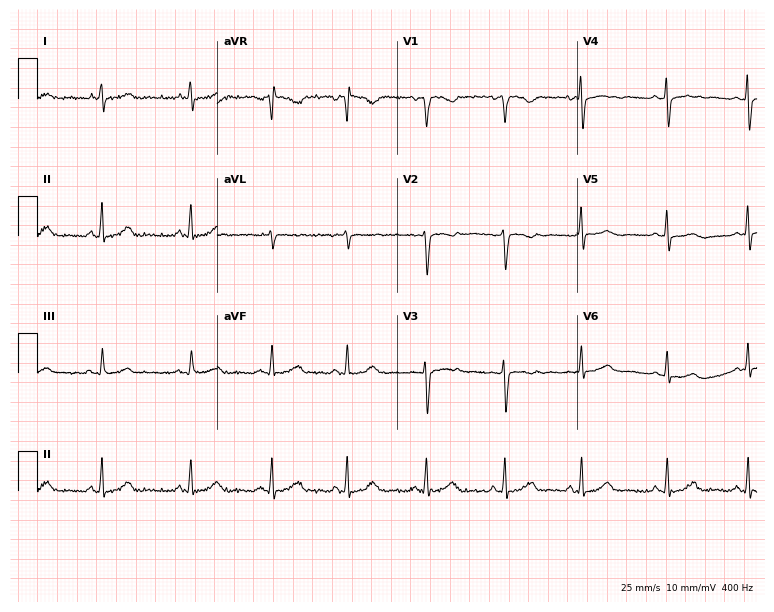
Electrocardiogram, a 29-year-old female. Of the six screened findings (first-degree AV block, right bundle branch block, left bundle branch block, sinus bradycardia, atrial fibrillation, sinus tachycardia), none is recorded. Other findings, if any, are not listed.